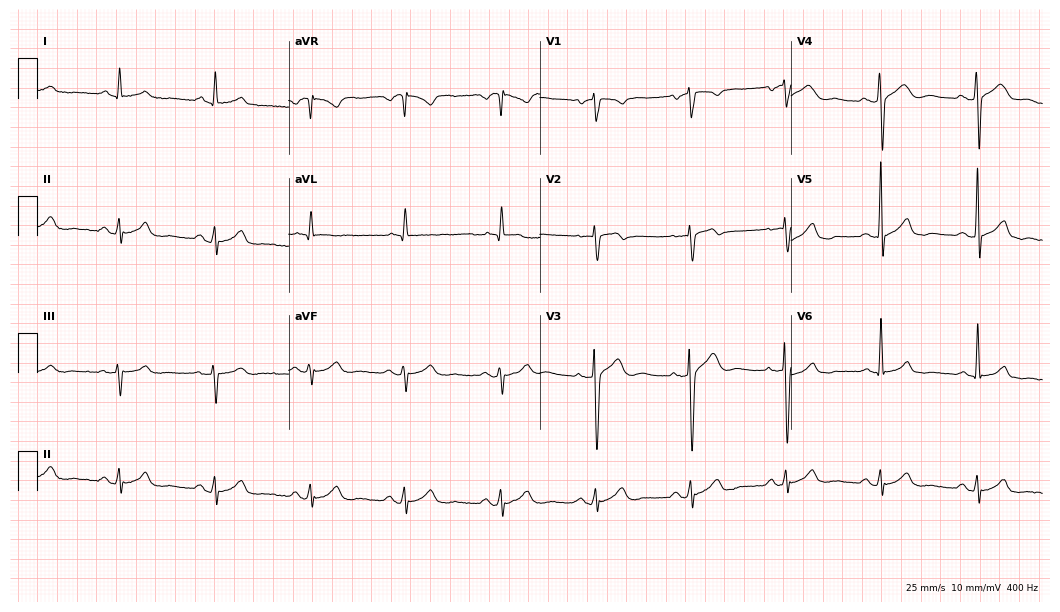
Electrocardiogram, a 65-year-old man. Overall reading on record: normal ECG.